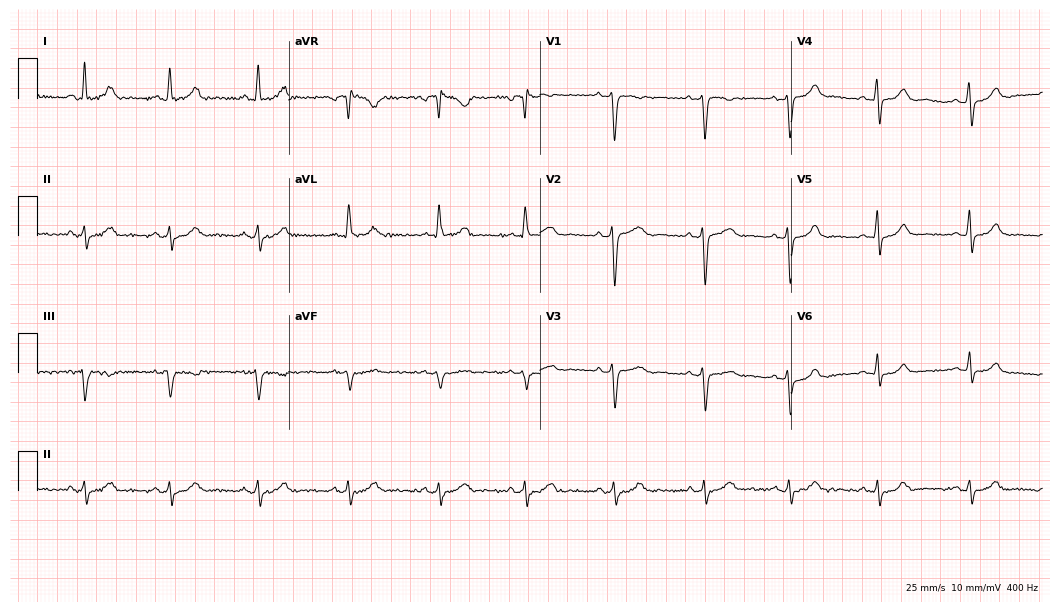
12-lead ECG from a female, 43 years old (10.2-second recording at 400 Hz). Recorded interpretation: within normal limits.